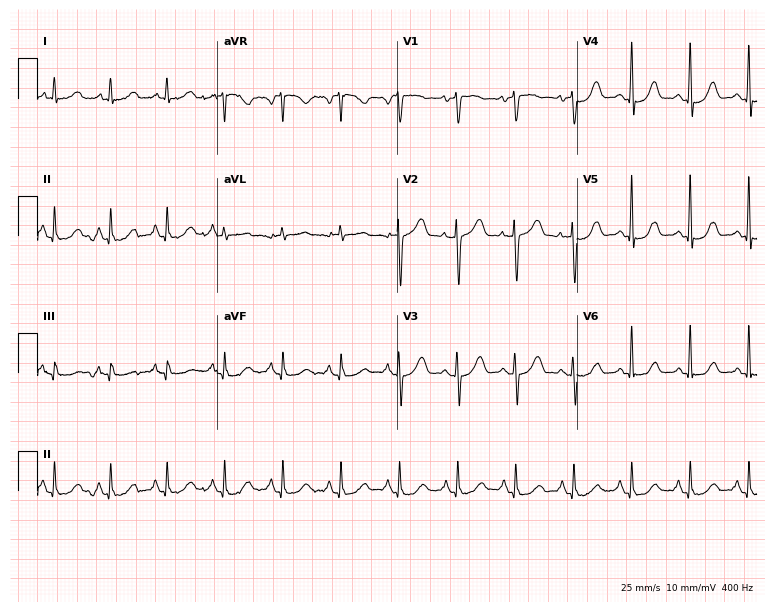
Electrocardiogram (7.3-second recording at 400 Hz), a female, 62 years old. Interpretation includes sinus tachycardia (a sinus rate of 100 beats per minute or more).